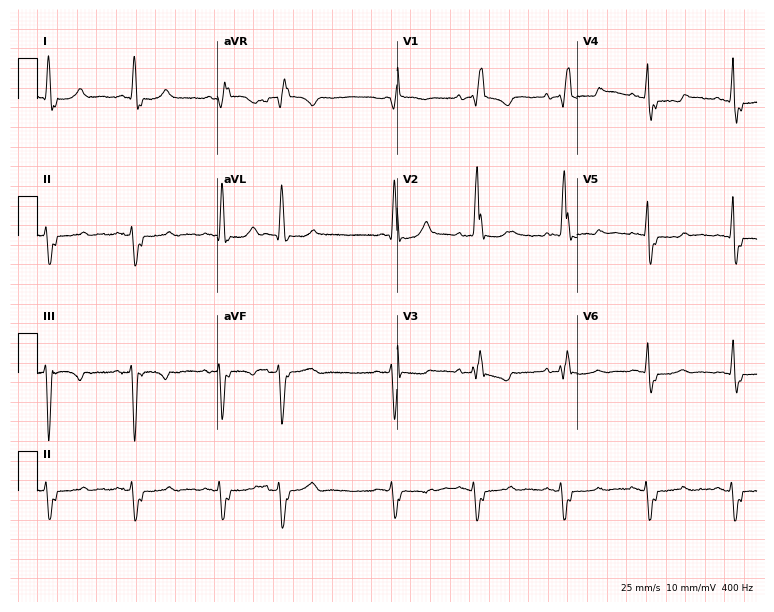
Electrocardiogram (7.3-second recording at 400 Hz), a female, 81 years old. Of the six screened findings (first-degree AV block, right bundle branch block, left bundle branch block, sinus bradycardia, atrial fibrillation, sinus tachycardia), none is recorded.